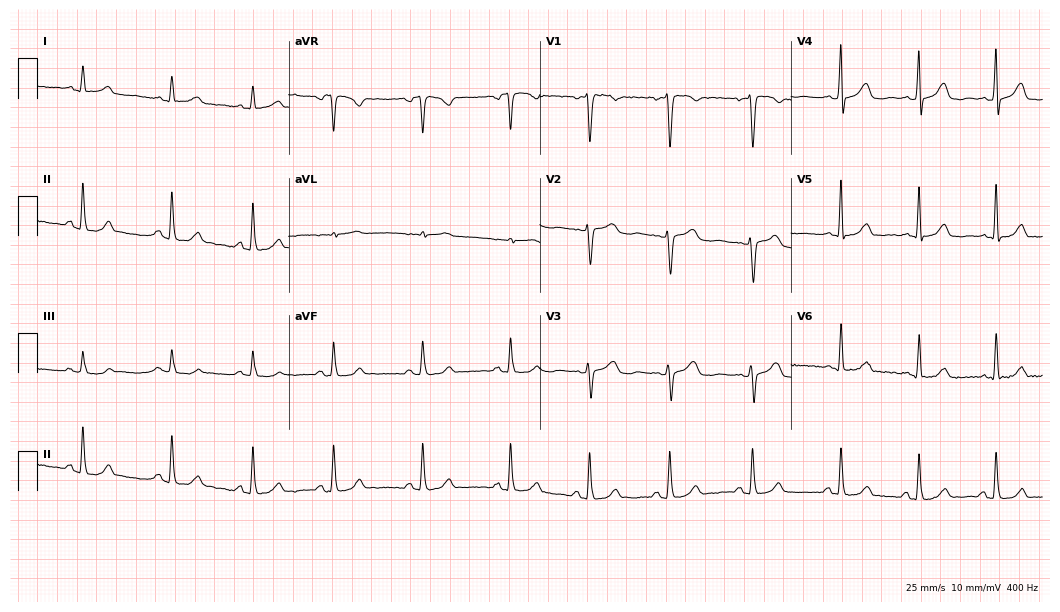
Resting 12-lead electrocardiogram (10.2-second recording at 400 Hz). Patient: a 33-year-old female. None of these six findings is recorded: first-degree AV block, right bundle branch block (RBBB), left bundle branch block (LBBB), sinus bradycardia, atrial fibrillation (AF), sinus tachycardia. Findings outside these six are not listed.